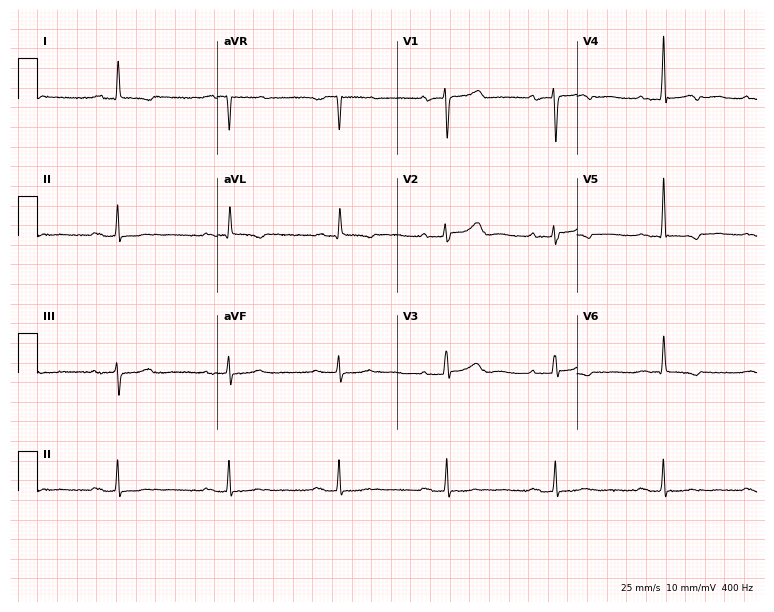
Standard 12-lead ECG recorded from a female, 70 years old (7.3-second recording at 400 Hz). None of these six findings is recorded: first-degree AV block, right bundle branch block (RBBB), left bundle branch block (LBBB), sinus bradycardia, atrial fibrillation (AF), sinus tachycardia. Findings outside these six are not listed.